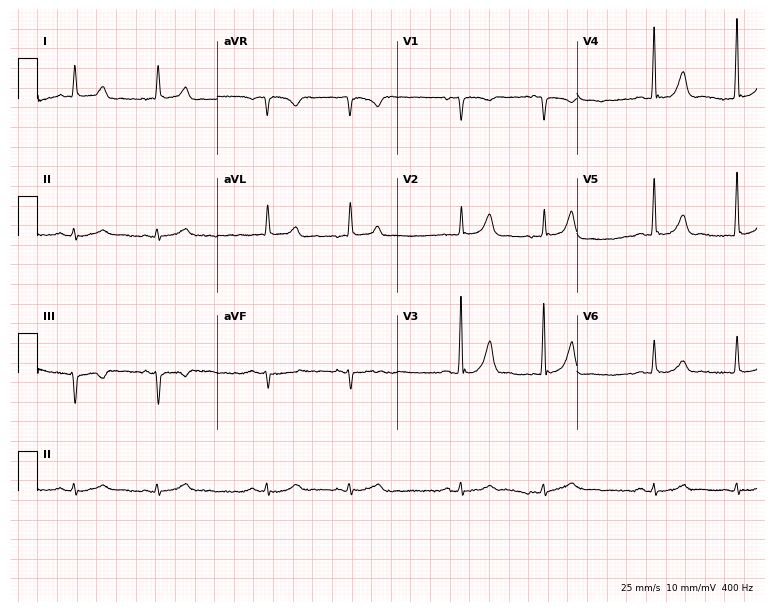
Standard 12-lead ECG recorded from a man, 68 years old. None of these six findings is recorded: first-degree AV block, right bundle branch block, left bundle branch block, sinus bradycardia, atrial fibrillation, sinus tachycardia.